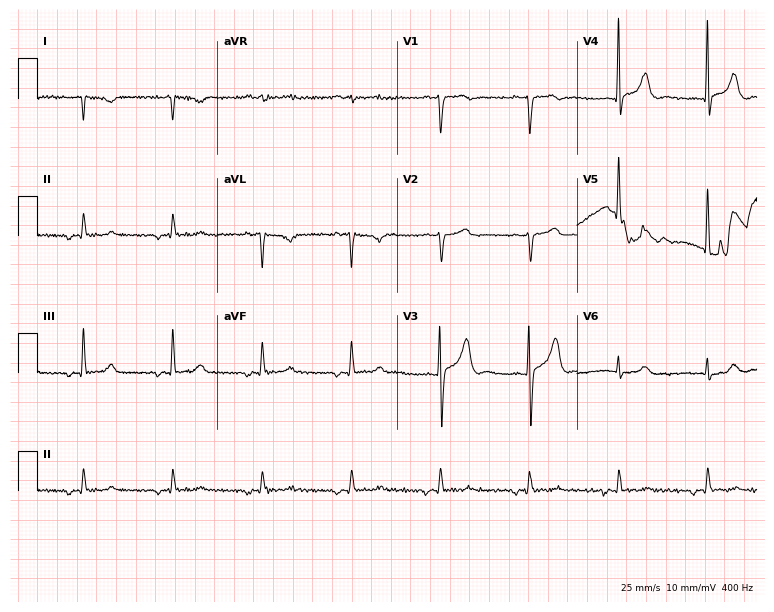
Resting 12-lead electrocardiogram (7.3-second recording at 400 Hz). Patient: a female, 79 years old. None of these six findings is recorded: first-degree AV block, right bundle branch block, left bundle branch block, sinus bradycardia, atrial fibrillation, sinus tachycardia.